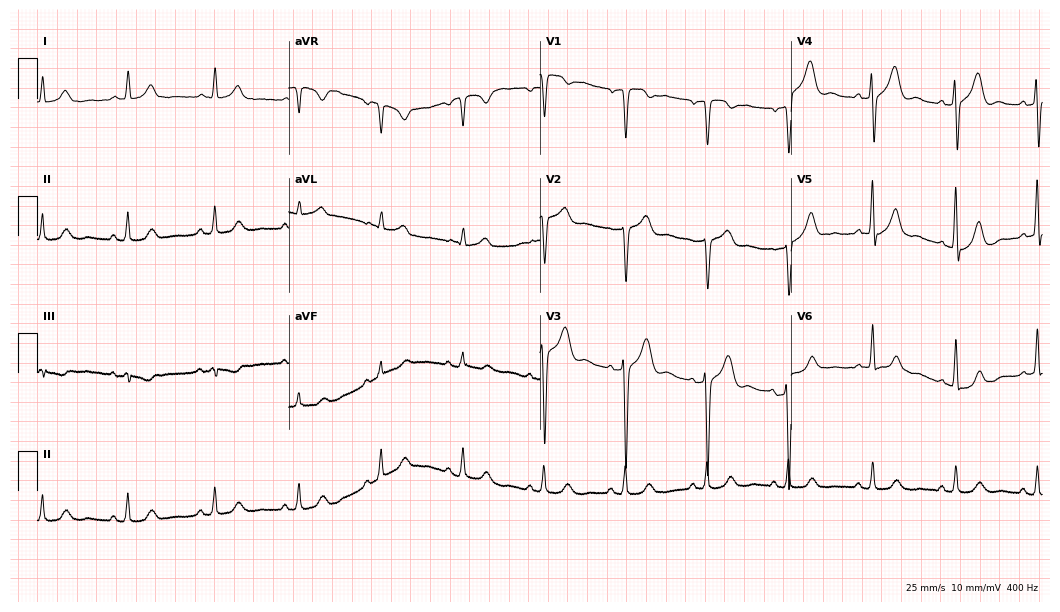
ECG — a male, 65 years old. Labelled as a normal ECG.